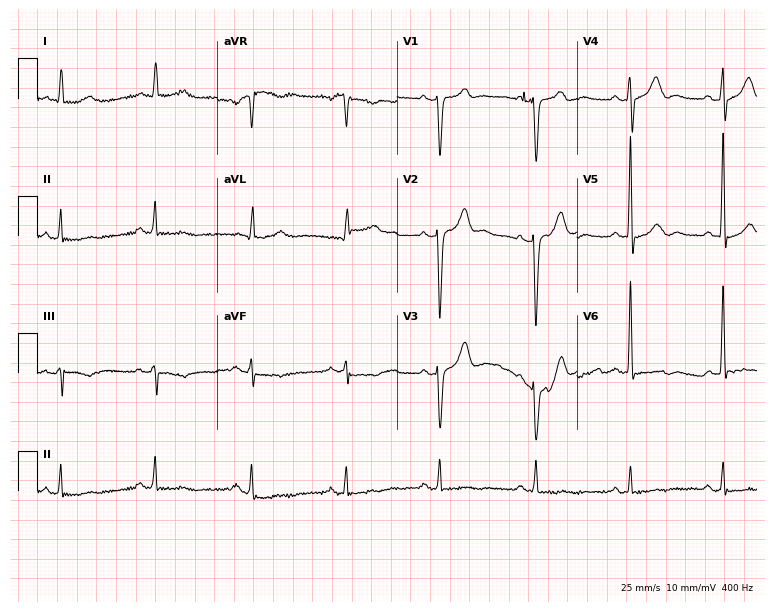
12-lead ECG from an 80-year-old male patient (7.3-second recording at 400 Hz). No first-degree AV block, right bundle branch block, left bundle branch block, sinus bradycardia, atrial fibrillation or sinus tachycardia recorded for this tracing. Only these six findings were labelled.